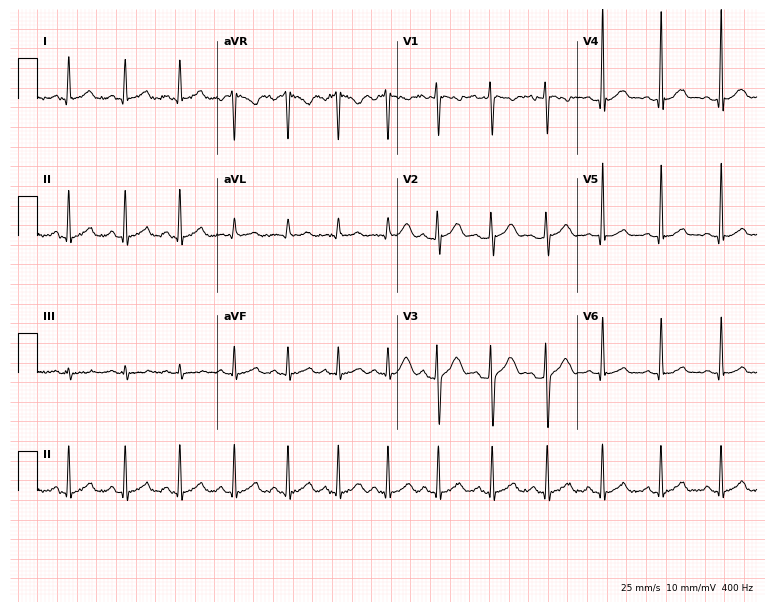
Resting 12-lead electrocardiogram. Patient: a 23-year-old male. The tracing shows sinus tachycardia (a sinus rate of 100 beats per minute or more).